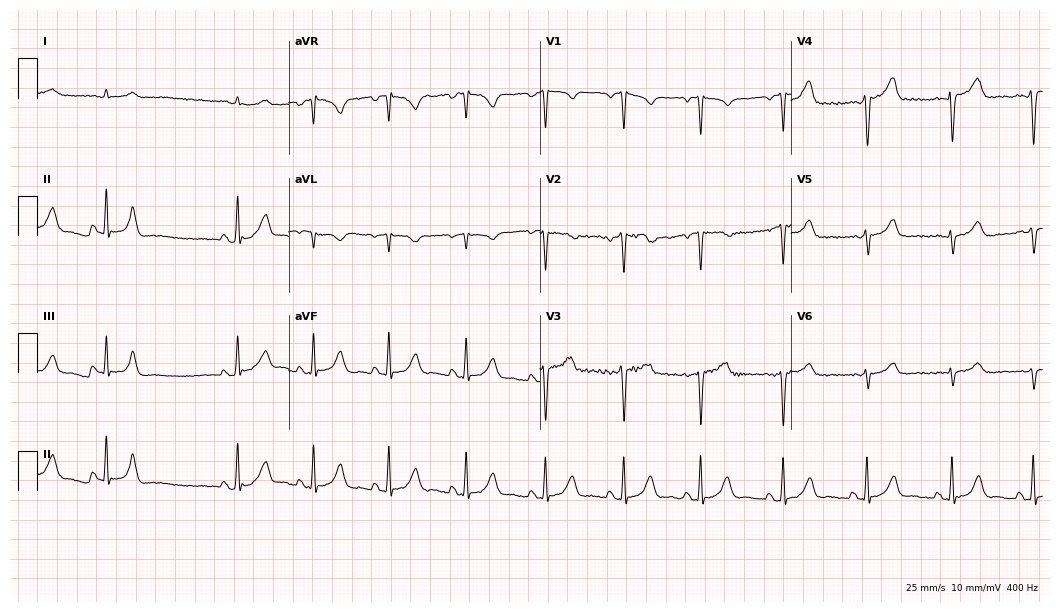
12-lead ECG (10.2-second recording at 400 Hz) from a 61-year-old man. Screened for six findings — first-degree AV block, right bundle branch block, left bundle branch block, sinus bradycardia, atrial fibrillation, sinus tachycardia — none is recorded. Other findings, if any, are not listed.